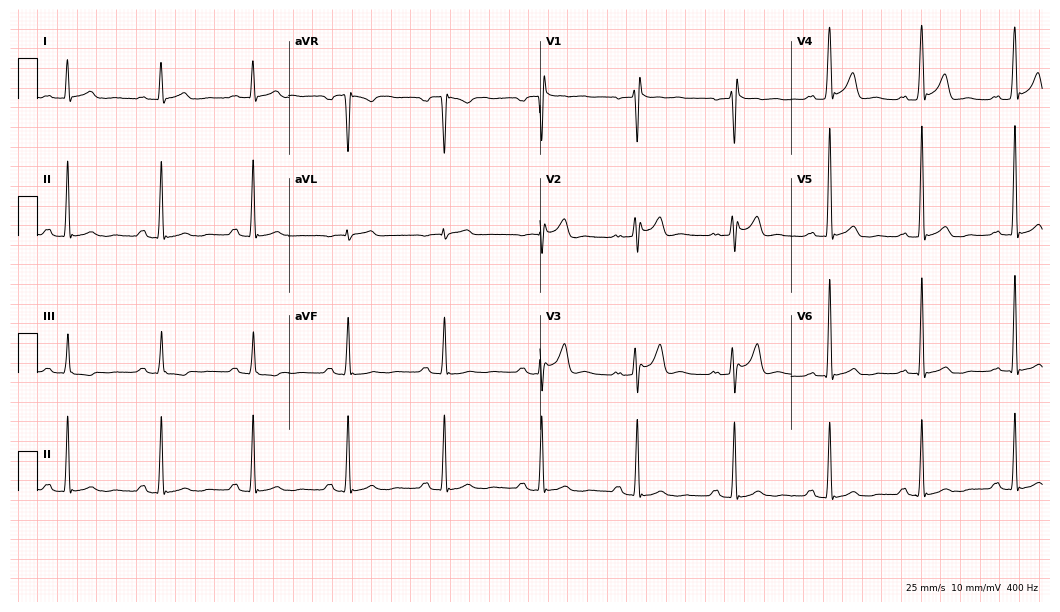
Electrocardiogram (10.2-second recording at 400 Hz), a man, 47 years old. Of the six screened findings (first-degree AV block, right bundle branch block, left bundle branch block, sinus bradycardia, atrial fibrillation, sinus tachycardia), none is recorded.